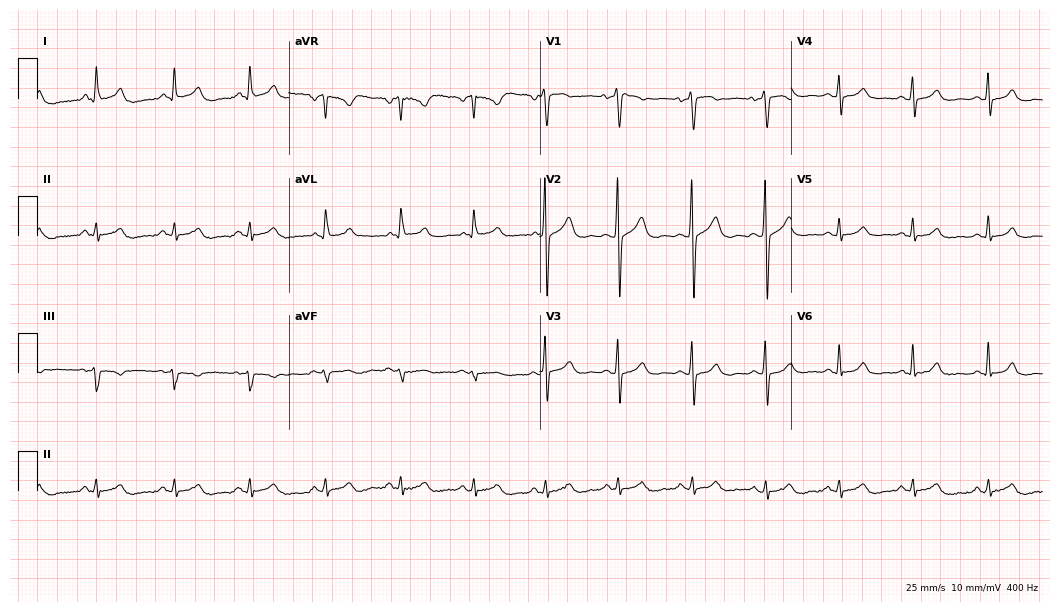
Electrocardiogram (10.2-second recording at 400 Hz), a 55-year-old male patient. Overall reading on record: normal ECG.